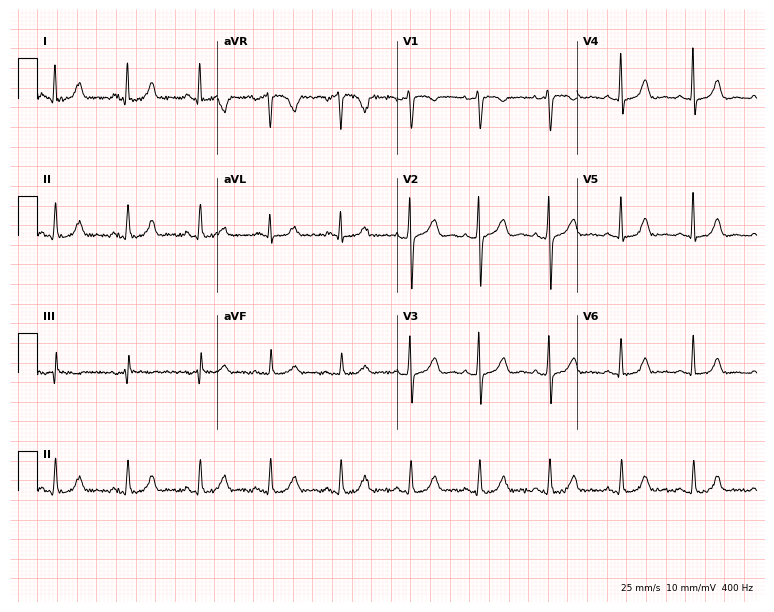
Standard 12-lead ECG recorded from a 46-year-old female (7.3-second recording at 400 Hz). Read as a normal ECG.